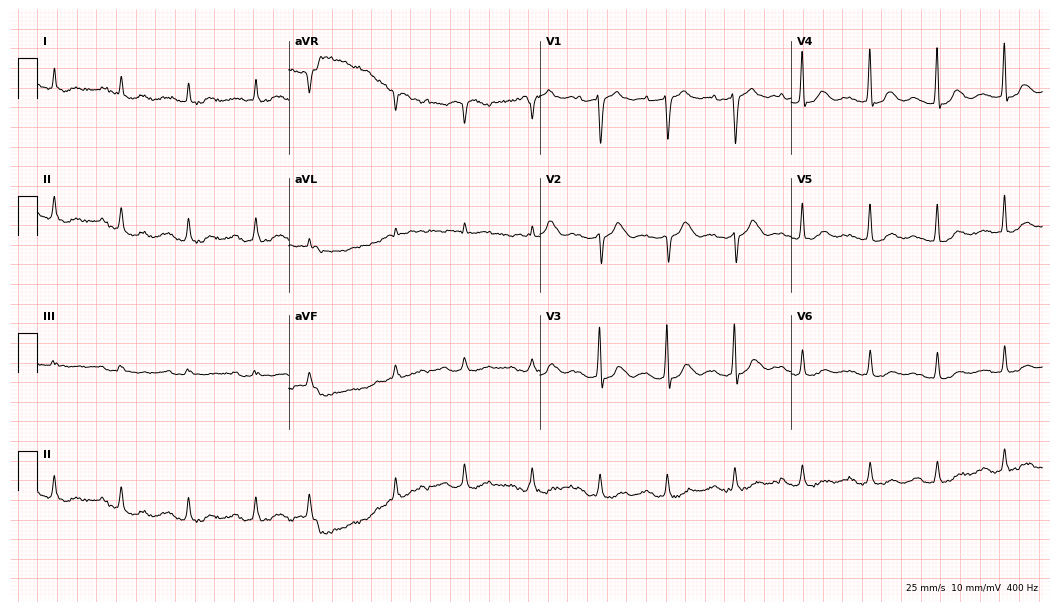
Resting 12-lead electrocardiogram. Patient: an 83-year-old woman. Read as a normal ECG.